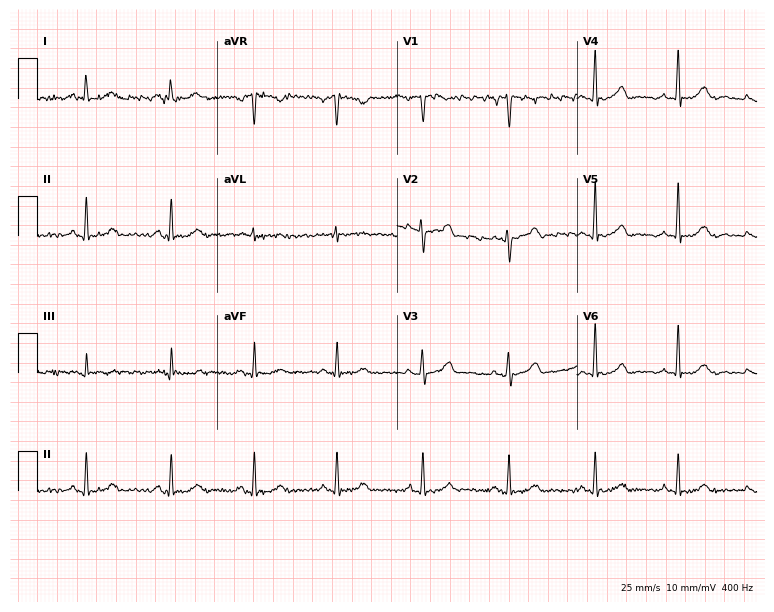
12-lead ECG from a female patient, 59 years old. No first-degree AV block, right bundle branch block, left bundle branch block, sinus bradycardia, atrial fibrillation or sinus tachycardia recorded for this tracing. Findings outside these six are not listed.